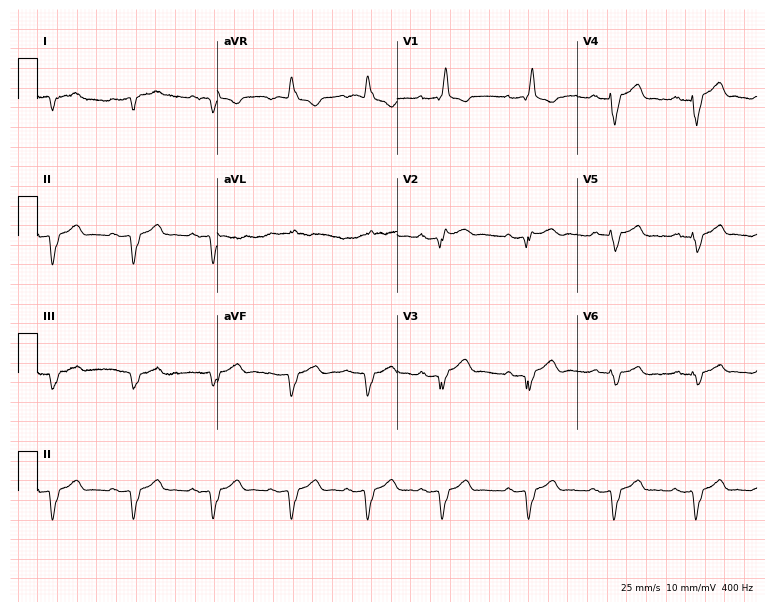
Standard 12-lead ECG recorded from a man, 65 years old (7.3-second recording at 400 Hz). The tracing shows right bundle branch block.